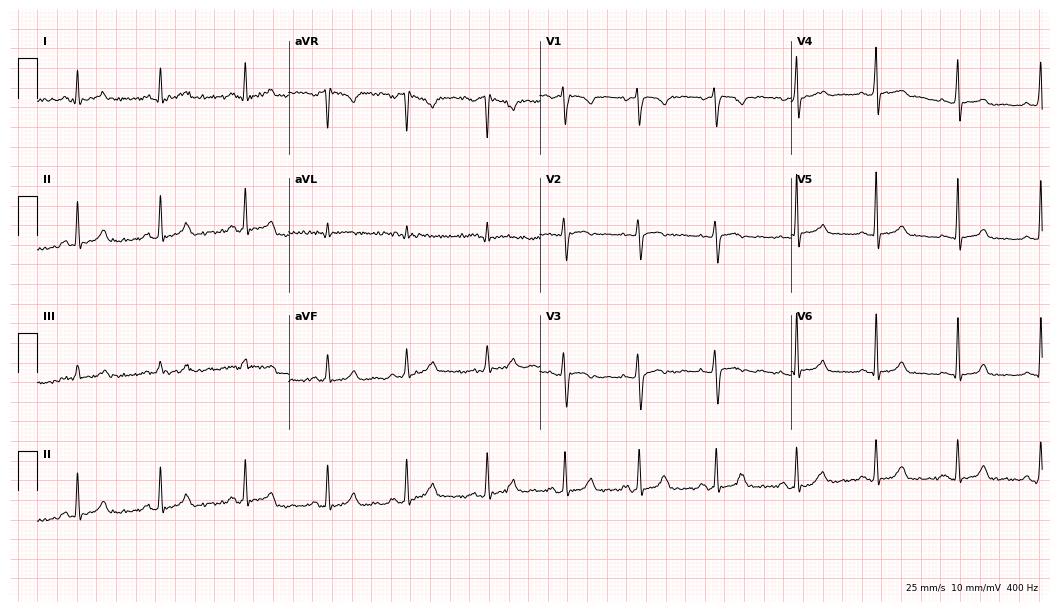
12-lead ECG from a female, 28 years old. Screened for six findings — first-degree AV block, right bundle branch block, left bundle branch block, sinus bradycardia, atrial fibrillation, sinus tachycardia — none is recorded.